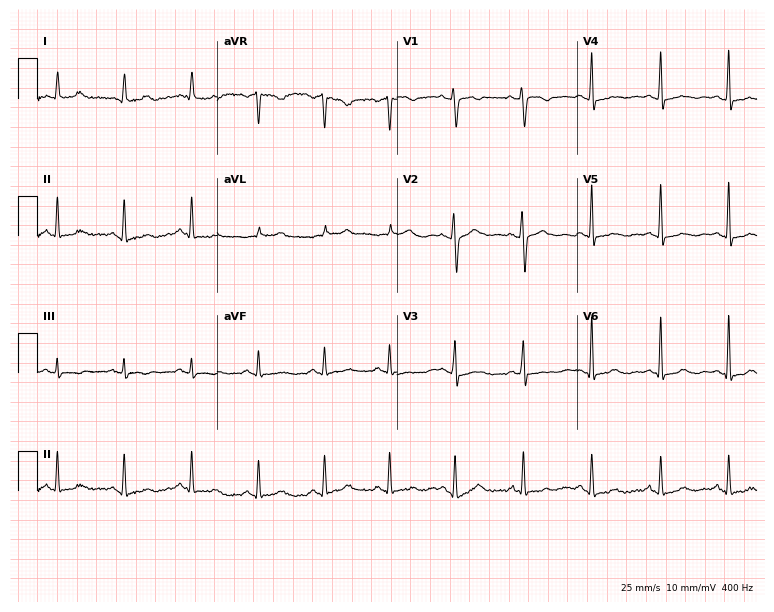
Electrocardiogram (7.3-second recording at 400 Hz), a woman, 52 years old. Overall reading on record: normal ECG.